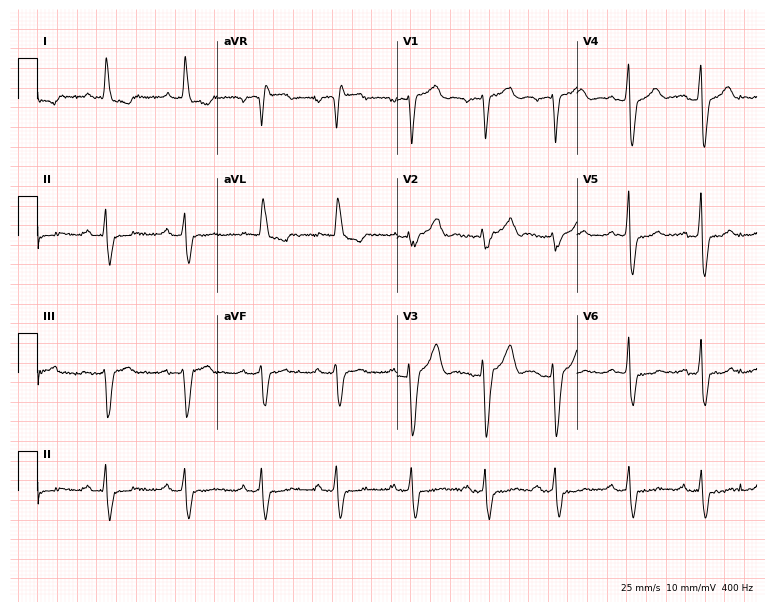
12-lead ECG from a male patient, 85 years old (7.3-second recording at 400 Hz). Shows left bundle branch block (LBBB).